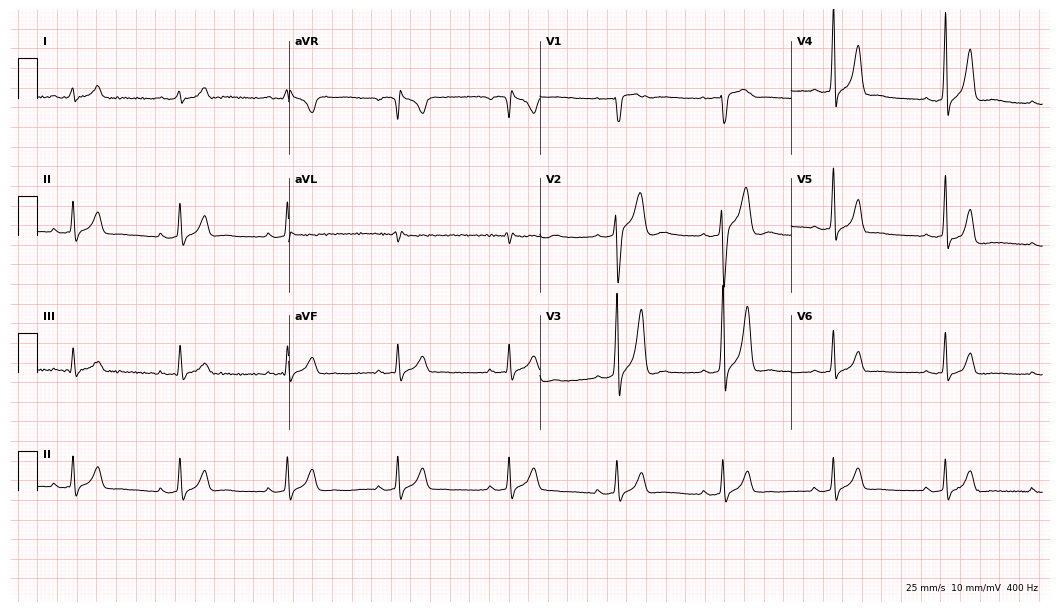
ECG (10.2-second recording at 400 Hz) — a 21-year-old man. Labelled as a normal ECG.